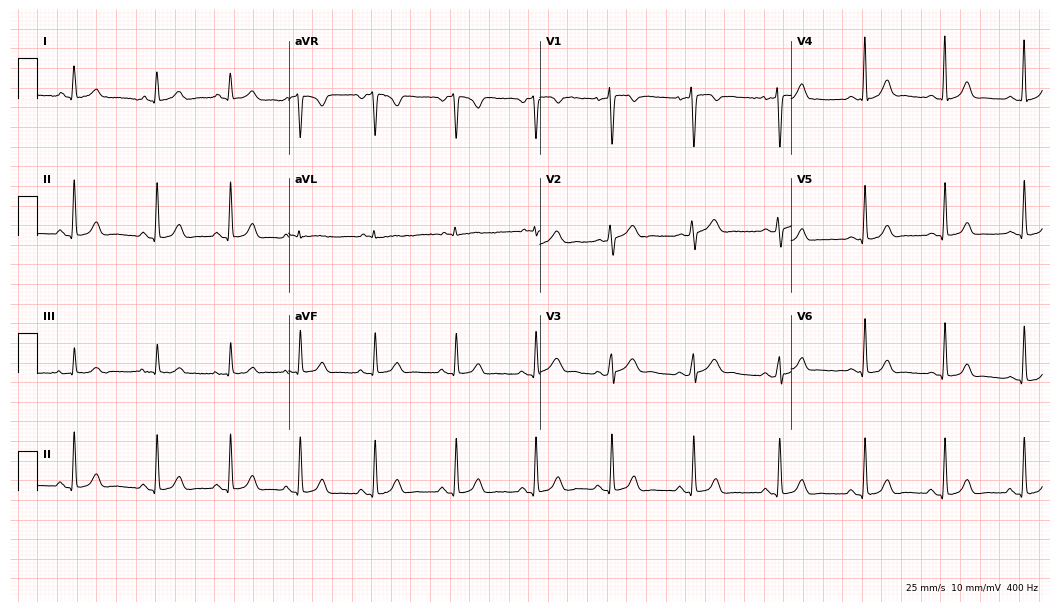
Resting 12-lead electrocardiogram. Patient: a 17-year-old woman. Read as a normal ECG.